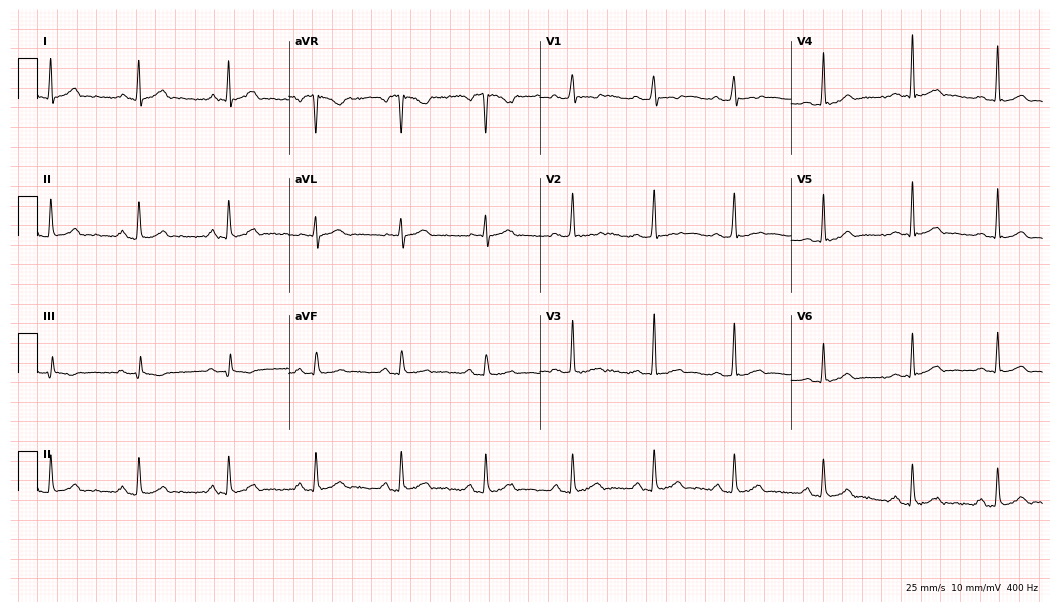
Standard 12-lead ECG recorded from a male, 36 years old. Read as a normal ECG.